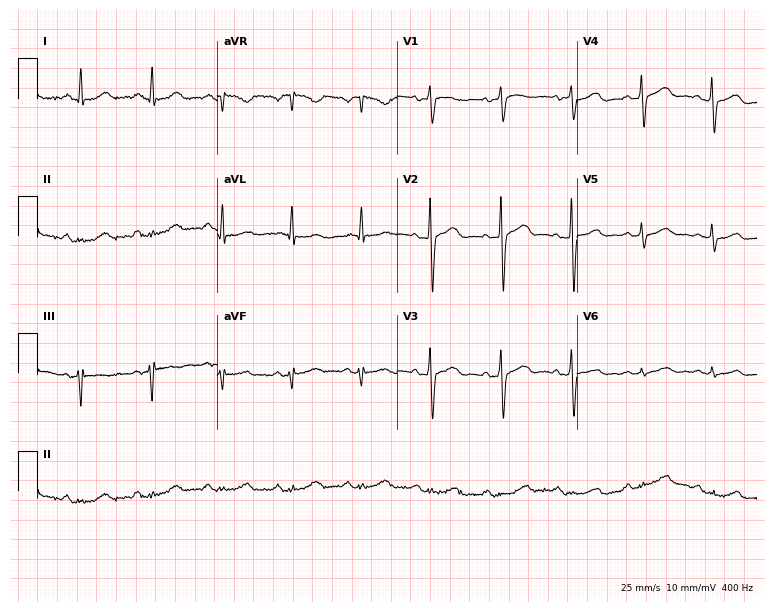
12-lead ECG from a 52-year-old female. Recorded interpretation: within normal limits.